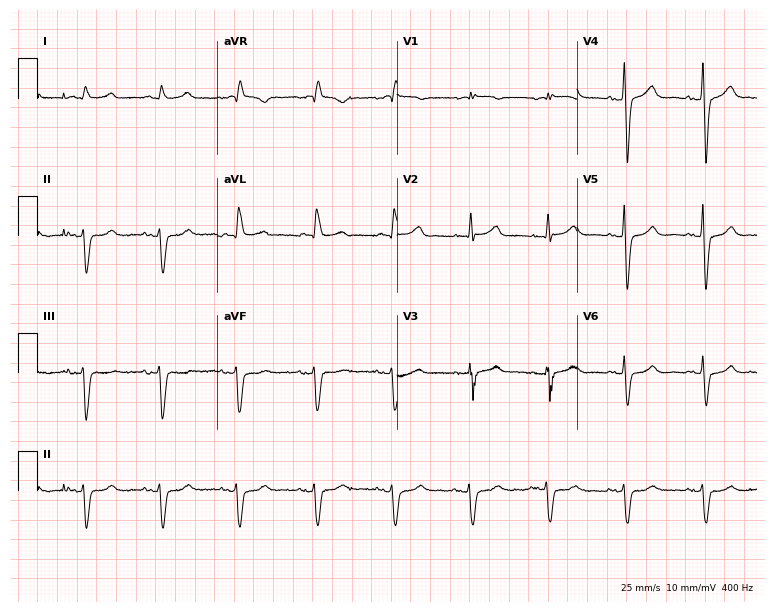
Electrocardiogram, a 70-year-old man. Of the six screened findings (first-degree AV block, right bundle branch block (RBBB), left bundle branch block (LBBB), sinus bradycardia, atrial fibrillation (AF), sinus tachycardia), none is recorded. Findings outside these six are not listed.